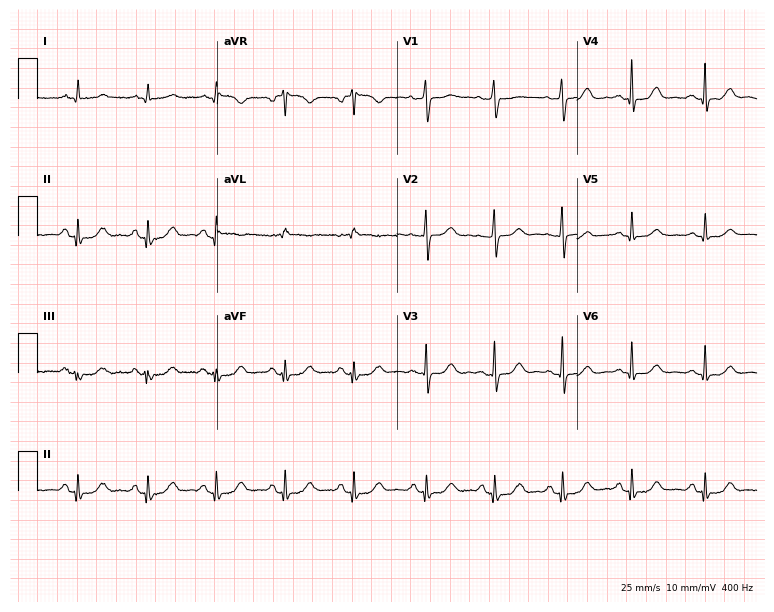
12-lead ECG from a woman, 72 years old. No first-degree AV block, right bundle branch block, left bundle branch block, sinus bradycardia, atrial fibrillation or sinus tachycardia recorded for this tracing. Findings outside these six are not listed.